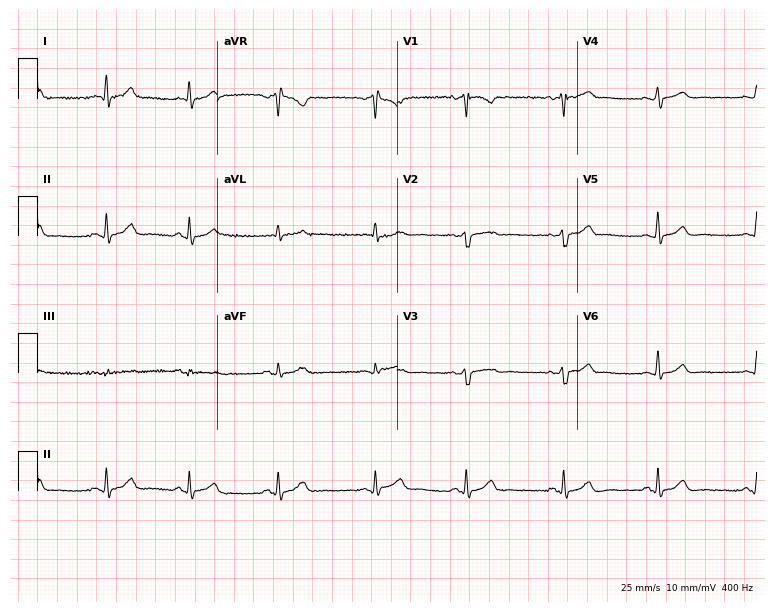
Electrocardiogram (7.3-second recording at 400 Hz), a 42-year-old female. Of the six screened findings (first-degree AV block, right bundle branch block, left bundle branch block, sinus bradycardia, atrial fibrillation, sinus tachycardia), none is recorded. Findings outside these six are not listed.